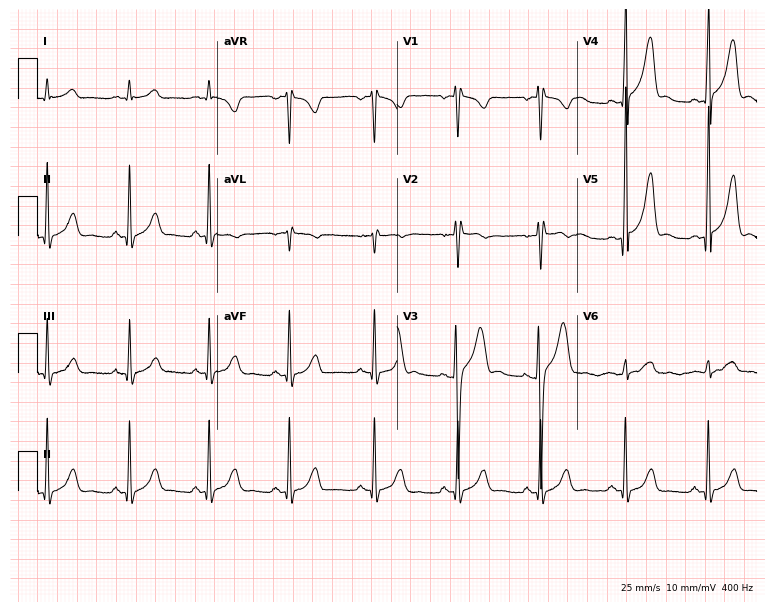
12-lead ECG (7.3-second recording at 400 Hz) from a 32-year-old male patient. Screened for six findings — first-degree AV block, right bundle branch block (RBBB), left bundle branch block (LBBB), sinus bradycardia, atrial fibrillation (AF), sinus tachycardia — none is recorded. Other findings, if any, are not listed.